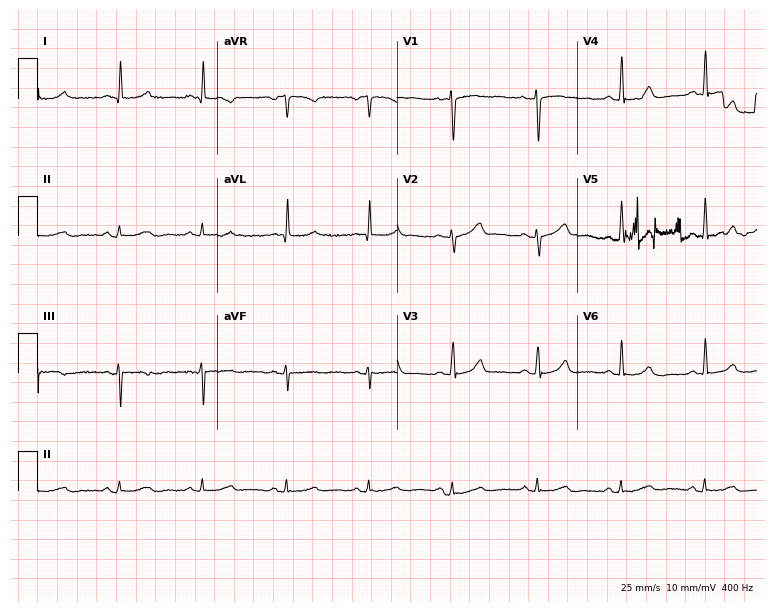
Standard 12-lead ECG recorded from a woman, 49 years old. None of these six findings is recorded: first-degree AV block, right bundle branch block, left bundle branch block, sinus bradycardia, atrial fibrillation, sinus tachycardia.